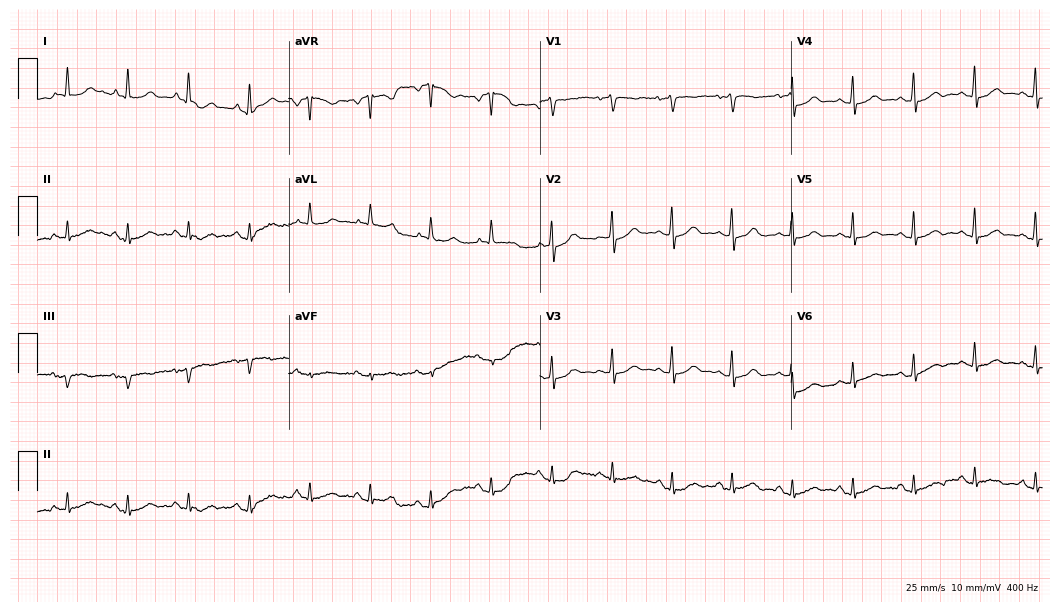
12-lead ECG from a 72-year-old female (10.2-second recording at 400 Hz). Recorded interpretation: within normal limits.